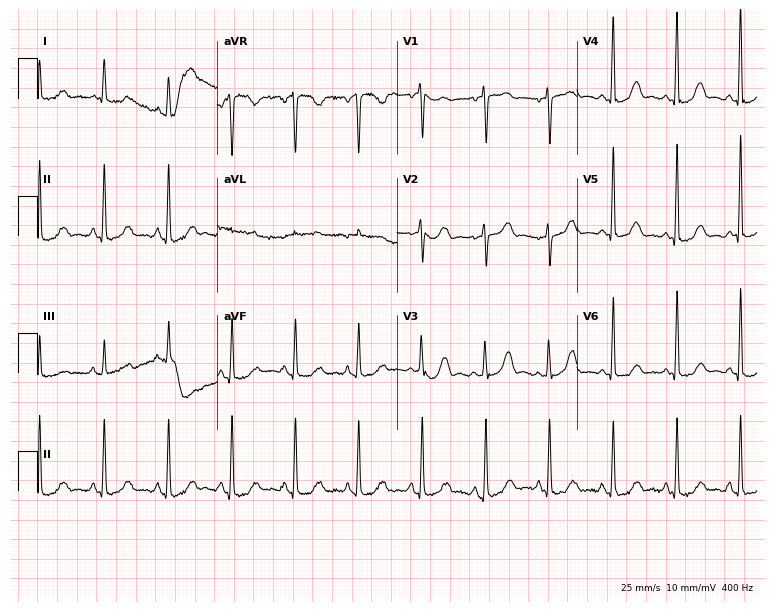
Resting 12-lead electrocardiogram (7.3-second recording at 400 Hz). Patient: a female, 66 years old. None of these six findings is recorded: first-degree AV block, right bundle branch block (RBBB), left bundle branch block (LBBB), sinus bradycardia, atrial fibrillation (AF), sinus tachycardia. Only these six findings were labelled.